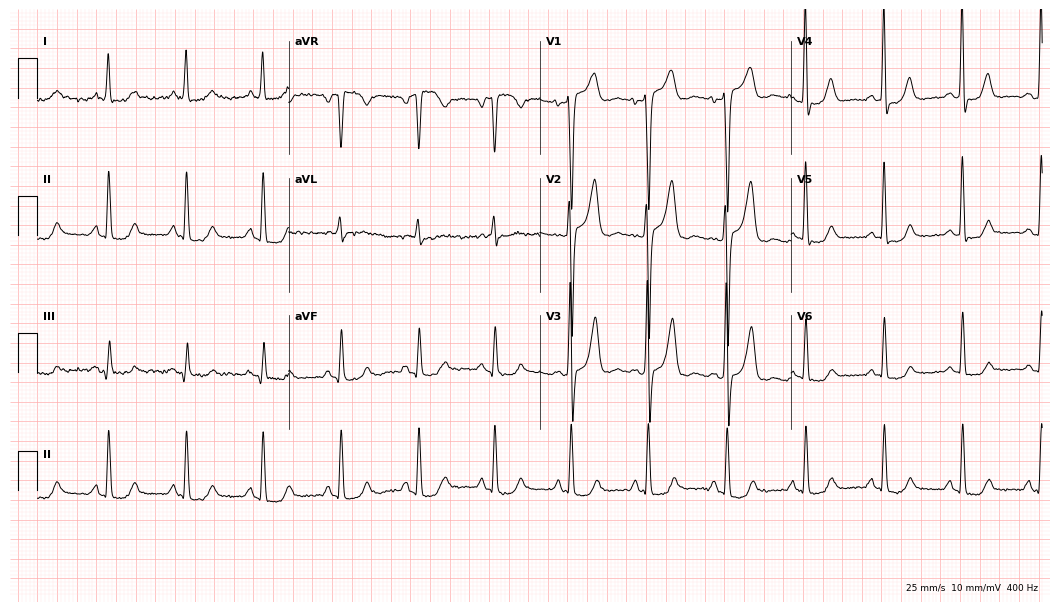
12-lead ECG from a man, 63 years old. Labelled as a normal ECG.